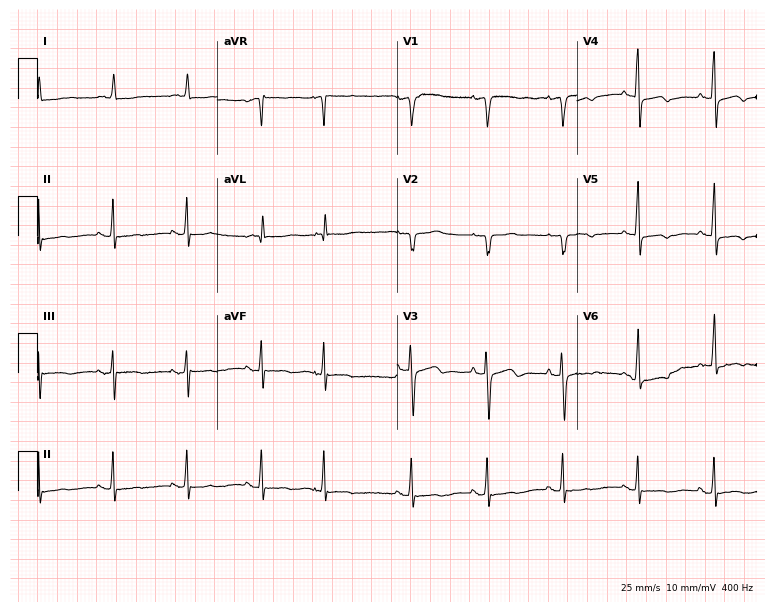
ECG — a woman, 77 years old. Screened for six findings — first-degree AV block, right bundle branch block, left bundle branch block, sinus bradycardia, atrial fibrillation, sinus tachycardia — none is recorded.